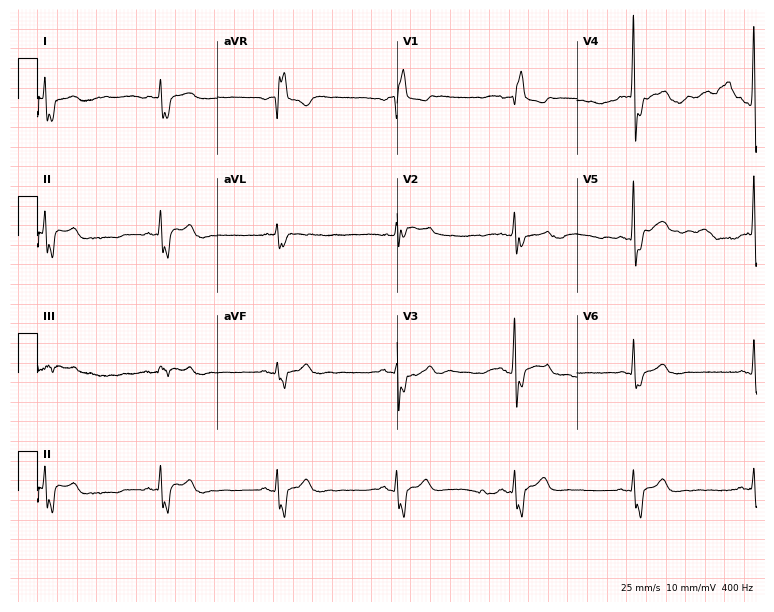
12-lead ECG from a male patient, 61 years old (7.3-second recording at 400 Hz). Shows right bundle branch block.